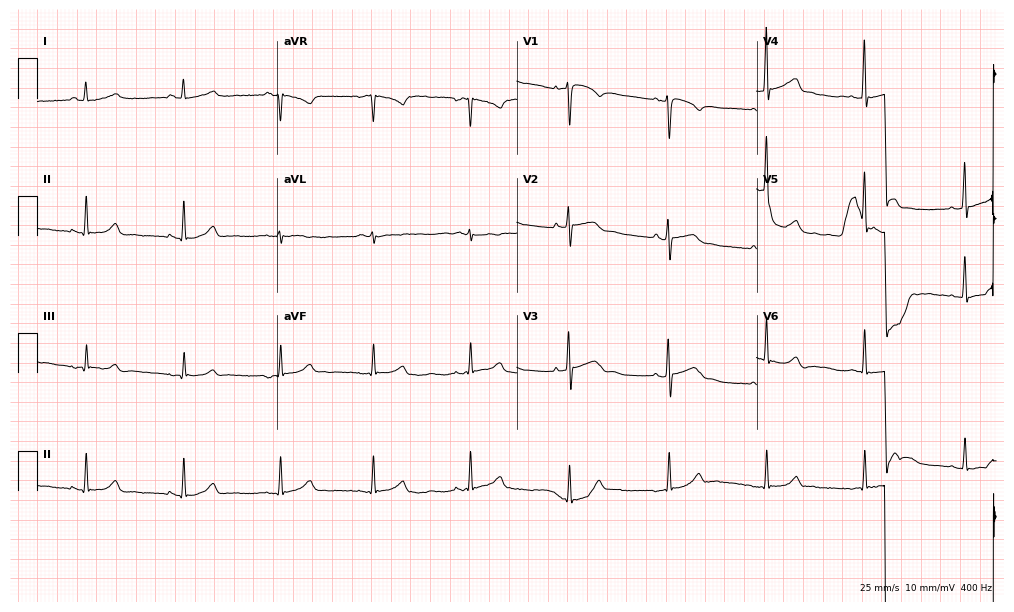
Standard 12-lead ECG recorded from a 42-year-old man. Read as a normal ECG.